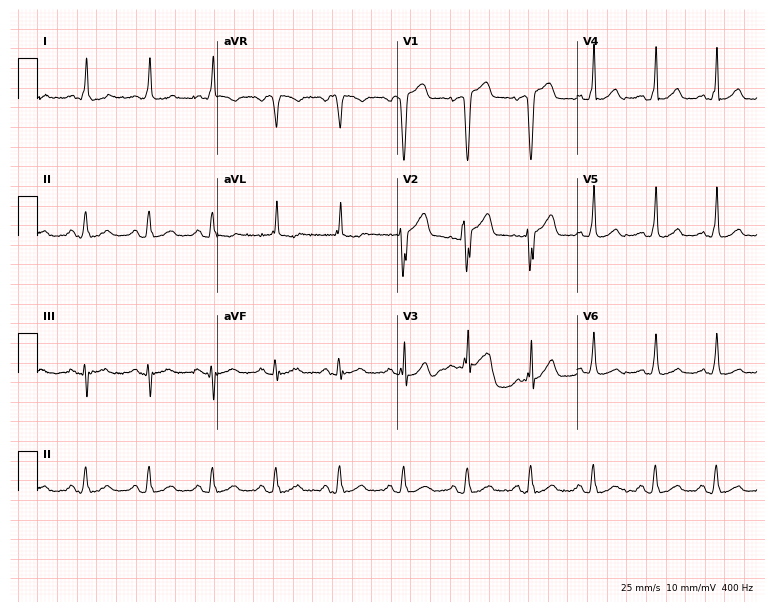
ECG (7.3-second recording at 400 Hz) — a male, 73 years old. Labelled as a normal ECG.